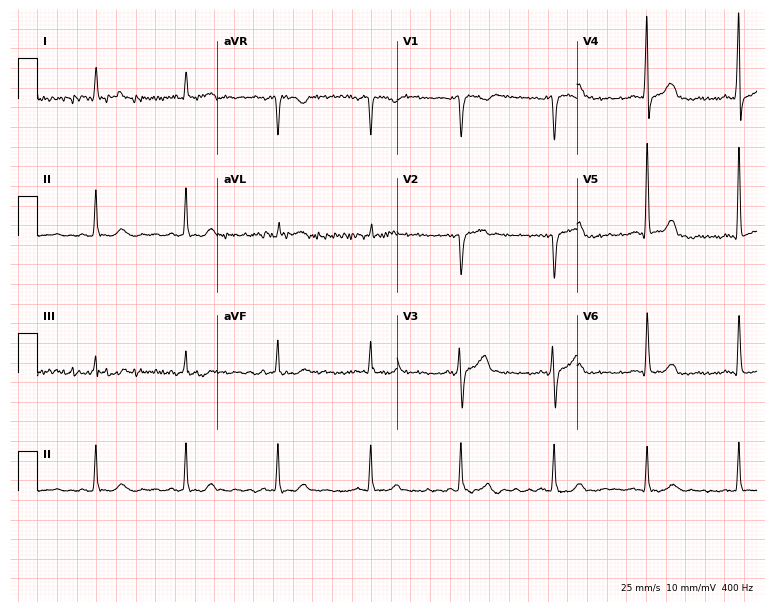
Standard 12-lead ECG recorded from a female, 68 years old. None of these six findings is recorded: first-degree AV block, right bundle branch block (RBBB), left bundle branch block (LBBB), sinus bradycardia, atrial fibrillation (AF), sinus tachycardia.